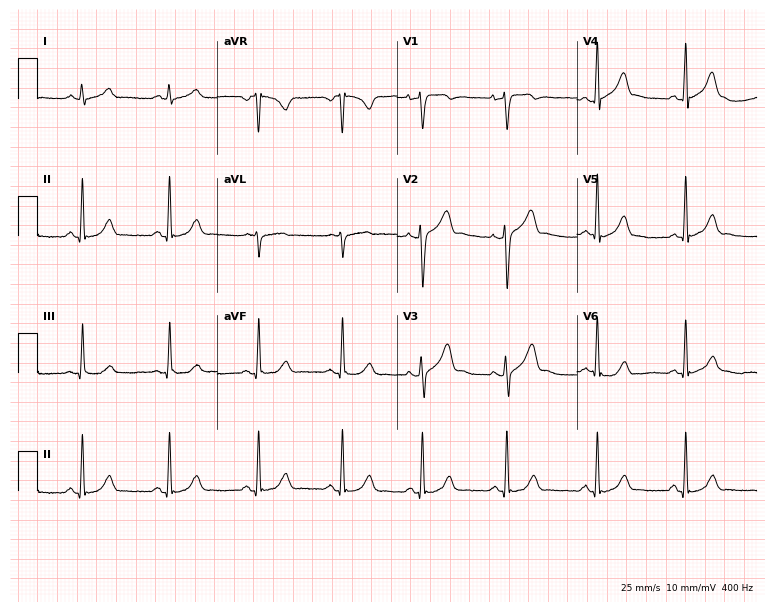
12-lead ECG from a 45-year-old male patient (7.3-second recording at 400 Hz). Recorded interpretation: within normal limits.